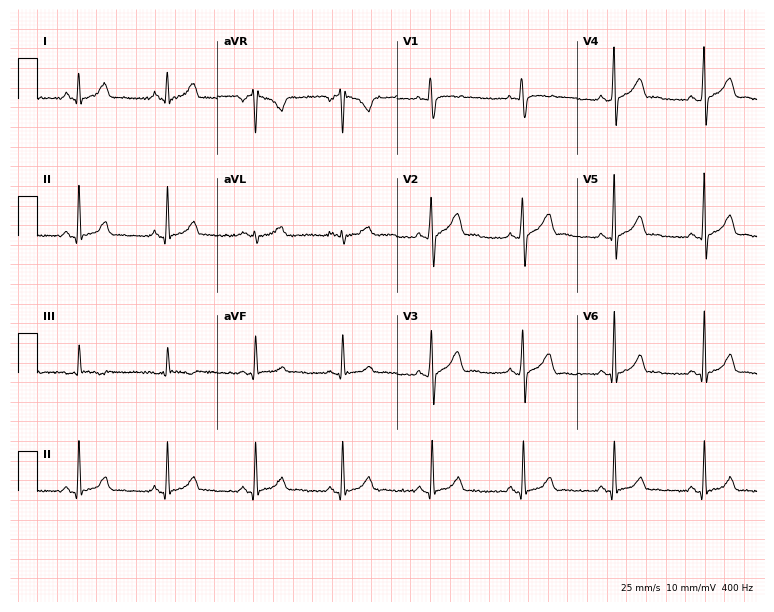
Electrocardiogram, a 30-year-old male. Overall reading on record: normal ECG.